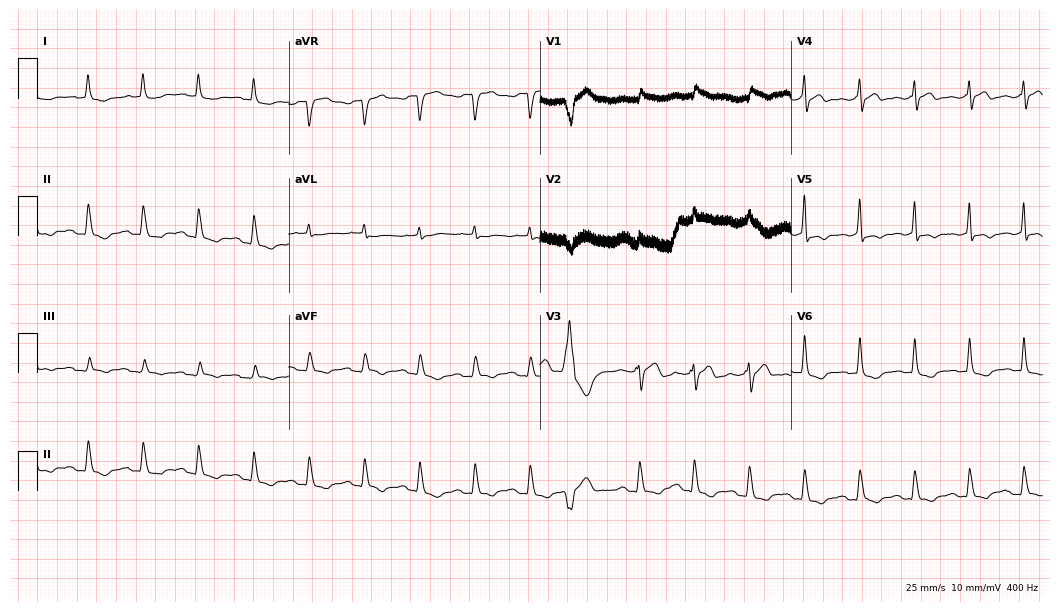
12-lead ECG (10.2-second recording at 400 Hz) from a male patient, 79 years old. Screened for six findings — first-degree AV block, right bundle branch block, left bundle branch block, sinus bradycardia, atrial fibrillation, sinus tachycardia — none is recorded.